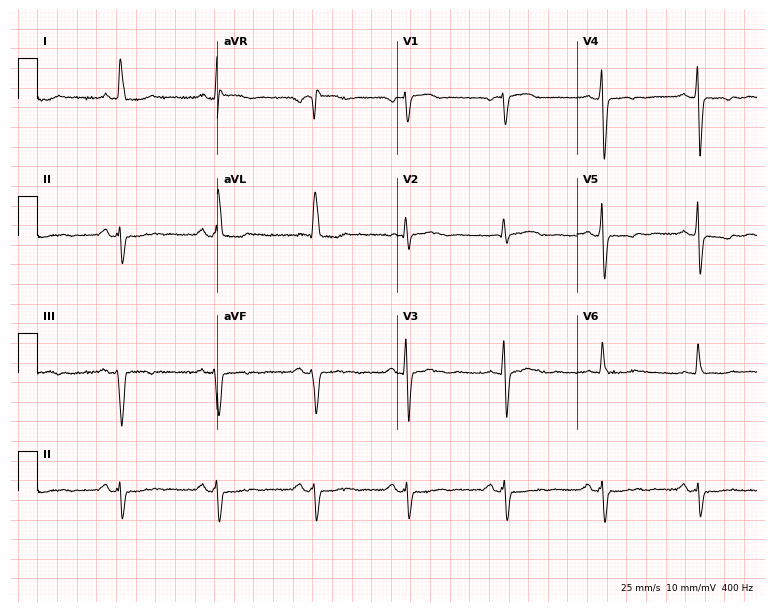
Resting 12-lead electrocardiogram (7.3-second recording at 400 Hz). Patient: an 82-year-old female. None of these six findings is recorded: first-degree AV block, right bundle branch block, left bundle branch block, sinus bradycardia, atrial fibrillation, sinus tachycardia.